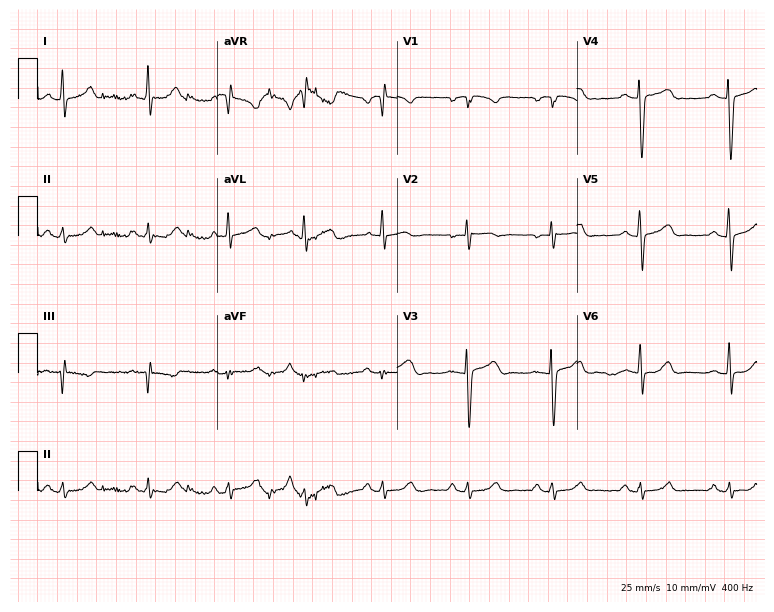
ECG — a 20-year-old female patient. Labelled as a normal ECG.